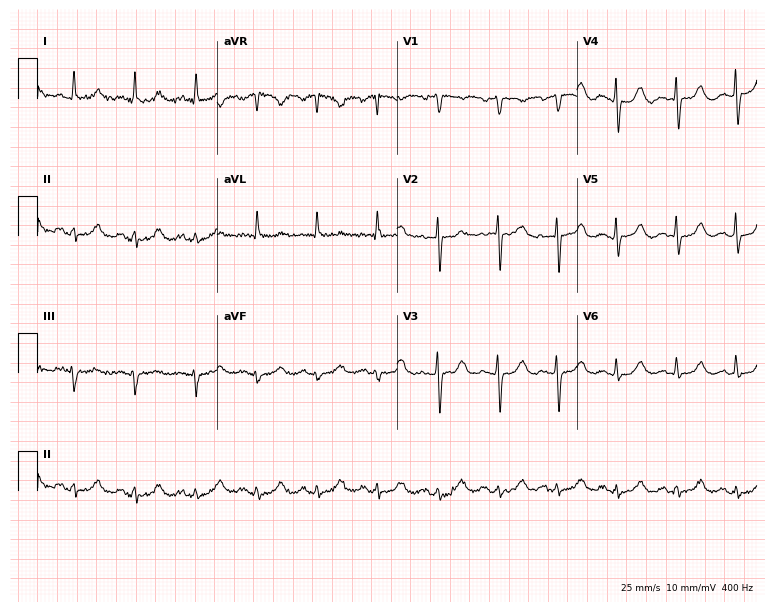
ECG — a female patient, 73 years old. Screened for six findings — first-degree AV block, right bundle branch block (RBBB), left bundle branch block (LBBB), sinus bradycardia, atrial fibrillation (AF), sinus tachycardia — none is recorded.